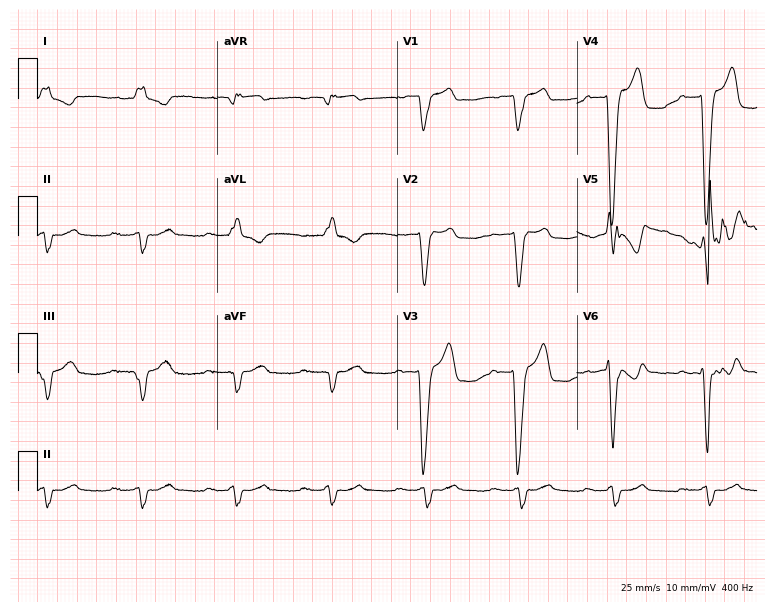
Electrocardiogram (7.3-second recording at 400 Hz), a man, 85 years old. Interpretation includes left bundle branch block (LBBB).